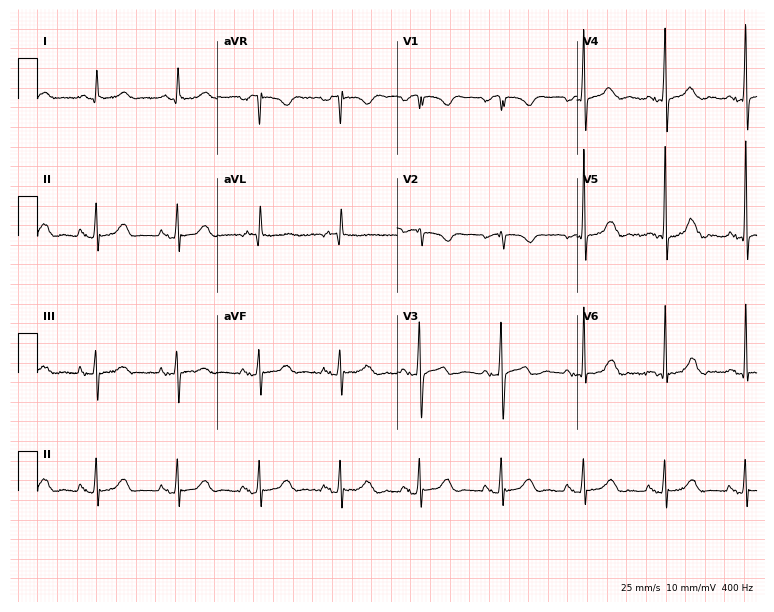
Electrocardiogram, an 82-year-old male. Of the six screened findings (first-degree AV block, right bundle branch block, left bundle branch block, sinus bradycardia, atrial fibrillation, sinus tachycardia), none is recorded. Findings outside these six are not listed.